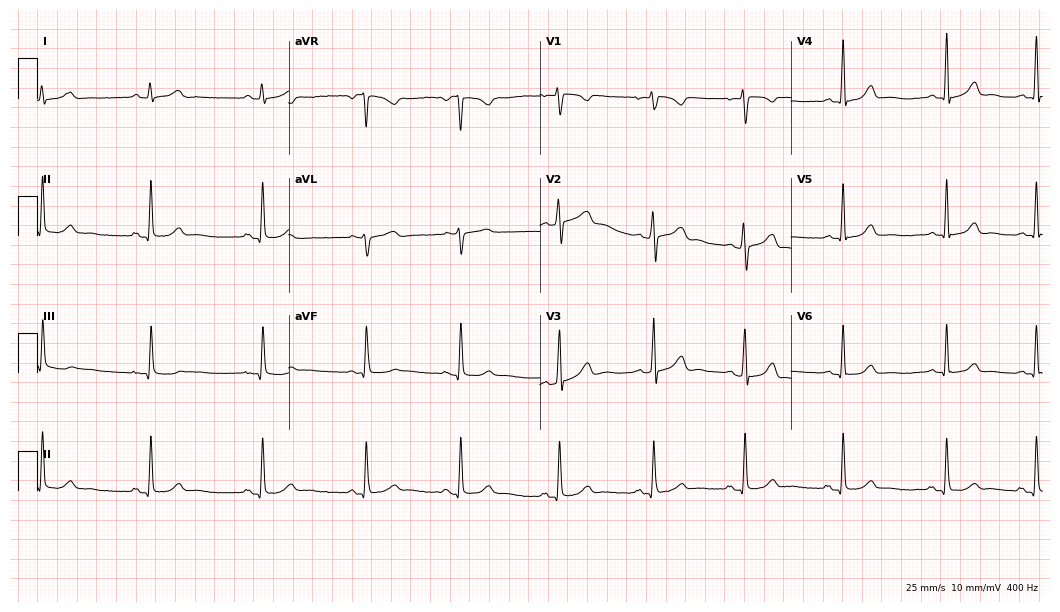
Electrocardiogram, a female patient, 31 years old. Overall reading on record: normal ECG.